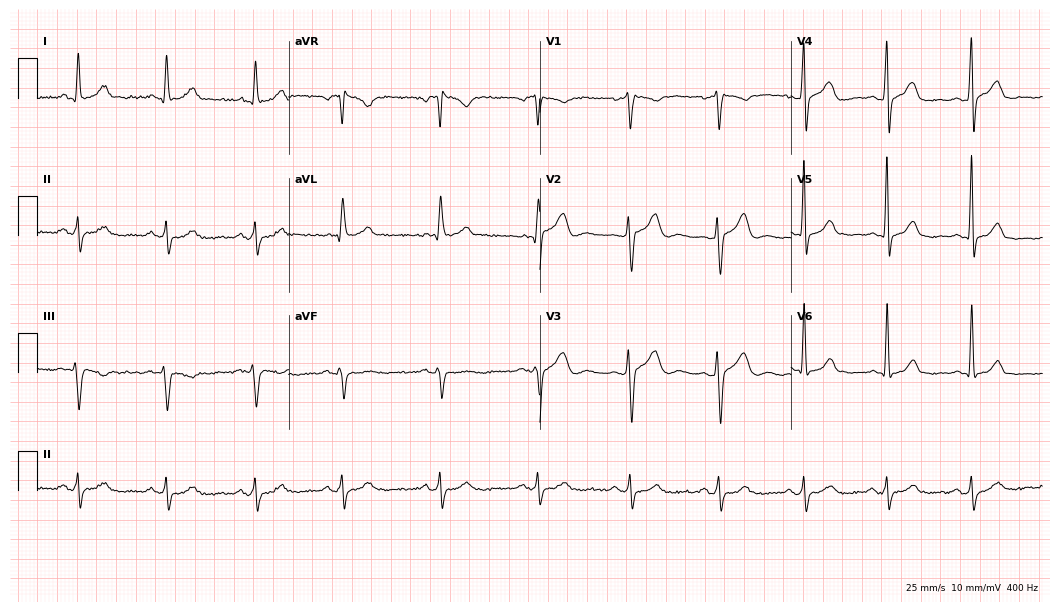
12-lead ECG from a 61-year-old male. No first-degree AV block, right bundle branch block (RBBB), left bundle branch block (LBBB), sinus bradycardia, atrial fibrillation (AF) or sinus tachycardia recorded for this tracing.